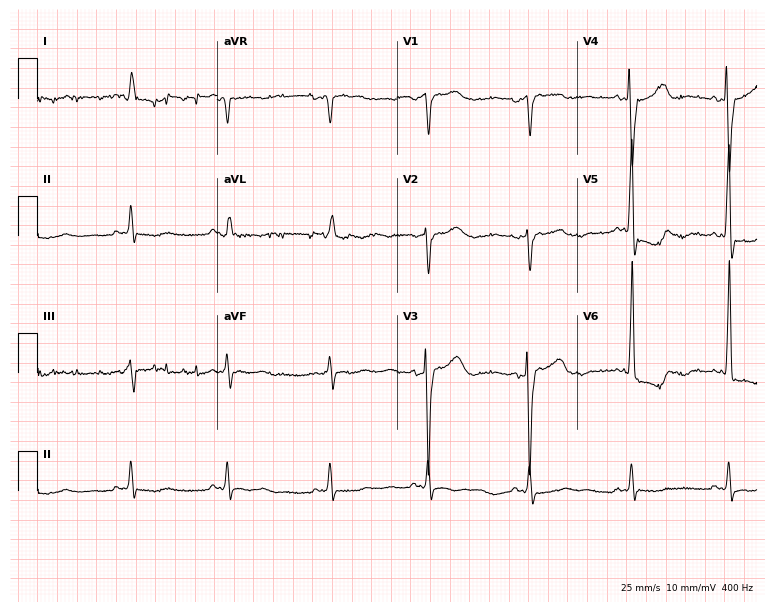
ECG — an 87-year-old man. Screened for six findings — first-degree AV block, right bundle branch block, left bundle branch block, sinus bradycardia, atrial fibrillation, sinus tachycardia — none is recorded.